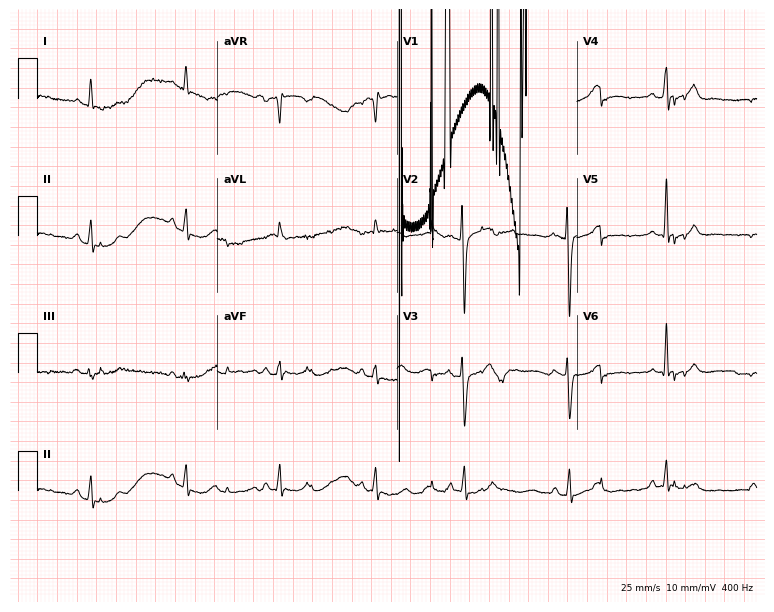
Resting 12-lead electrocardiogram. Patient: a female, 34 years old. None of these six findings is recorded: first-degree AV block, right bundle branch block (RBBB), left bundle branch block (LBBB), sinus bradycardia, atrial fibrillation (AF), sinus tachycardia.